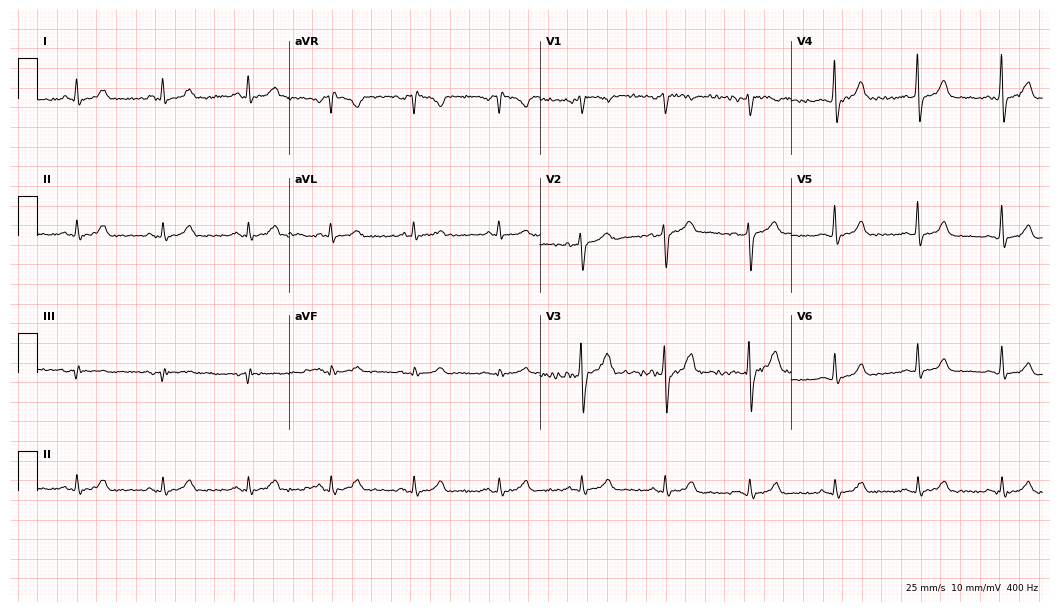
Standard 12-lead ECG recorded from a man, 46 years old. None of these six findings is recorded: first-degree AV block, right bundle branch block (RBBB), left bundle branch block (LBBB), sinus bradycardia, atrial fibrillation (AF), sinus tachycardia.